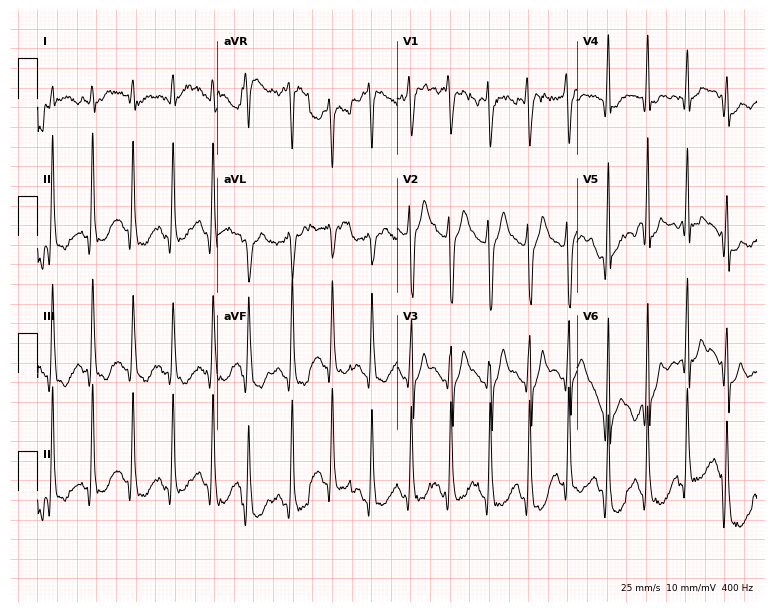
12-lead ECG (7.3-second recording at 400 Hz) from a 24-year-old male. Findings include sinus tachycardia (a sinus rate of 100 beats per minute or more).